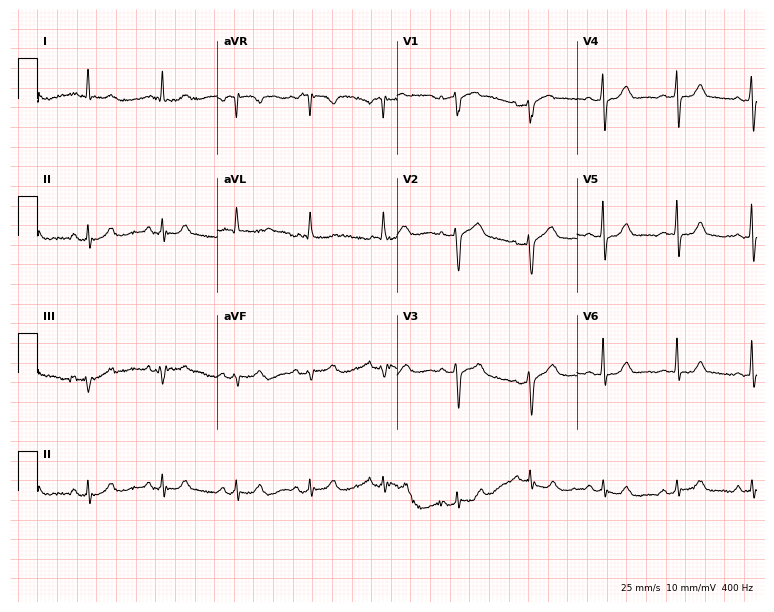
12-lead ECG (7.3-second recording at 400 Hz) from a woman, 75 years old. Screened for six findings — first-degree AV block, right bundle branch block (RBBB), left bundle branch block (LBBB), sinus bradycardia, atrial fibrillation (AF), sinus tachycardia — none is recorded. Other findings, if any, are not listed.